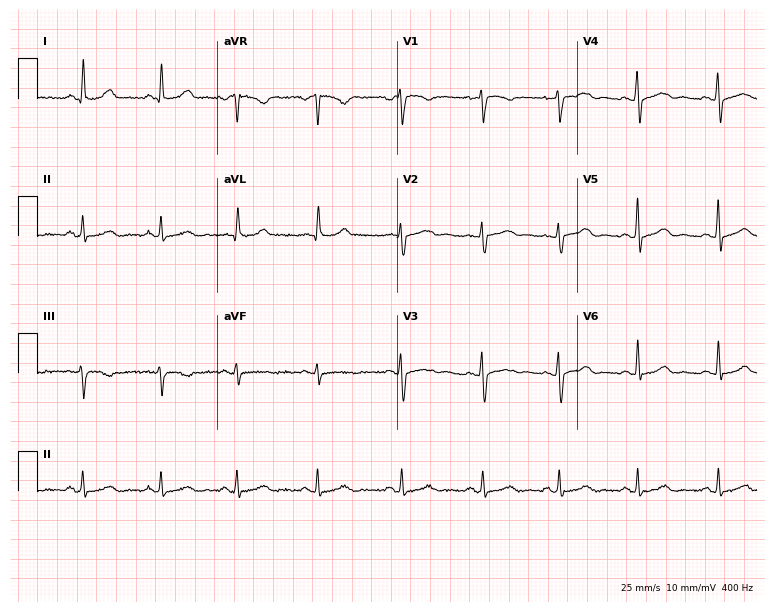
Electrocardiogram (7.3-second recording at 400 Hz), a female patient, 40 years old. Overall reading on record: normal ECG.